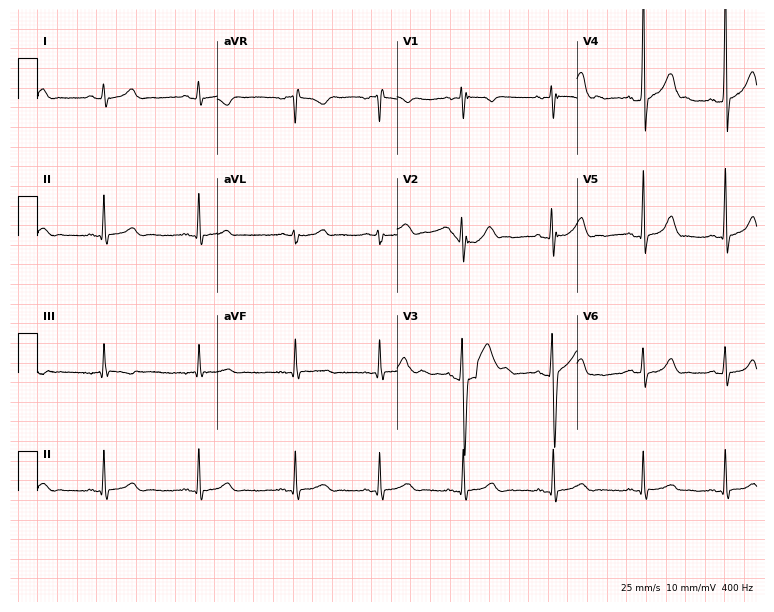
Electrocardiogram, an 18-year-old male. Of the six screened findings (first-degree AV block, right bundle branch block, left bundle branch block, sinus bradycardia, atrial fibrillation, sinus tachycardia), none is recorded.